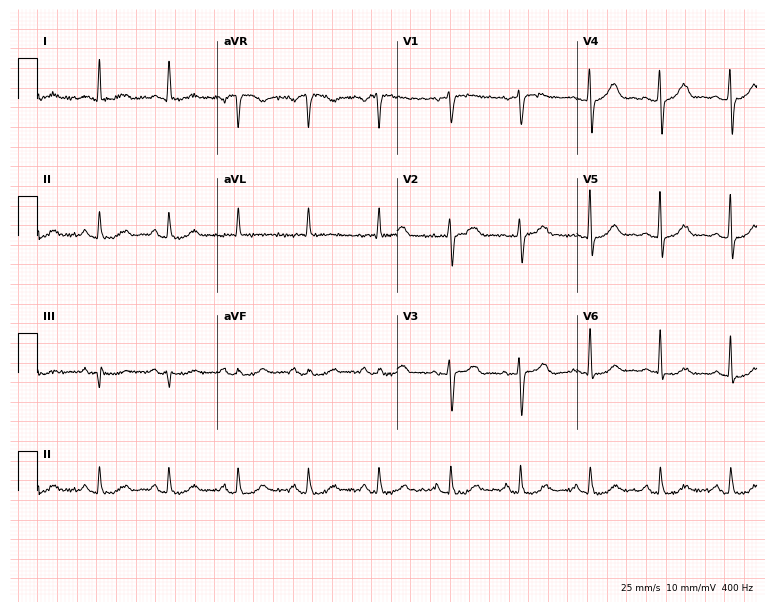
Resting 12-lead electrocardiogram (7.3-second recording at 400 Hz). Patient: a female, 60 years old. None of these six findings is recorded: first-degree AV block, right bundle branch block, left bundle branch block, sinus bradycardia, atrial fibrillation, sinus tachycardia.